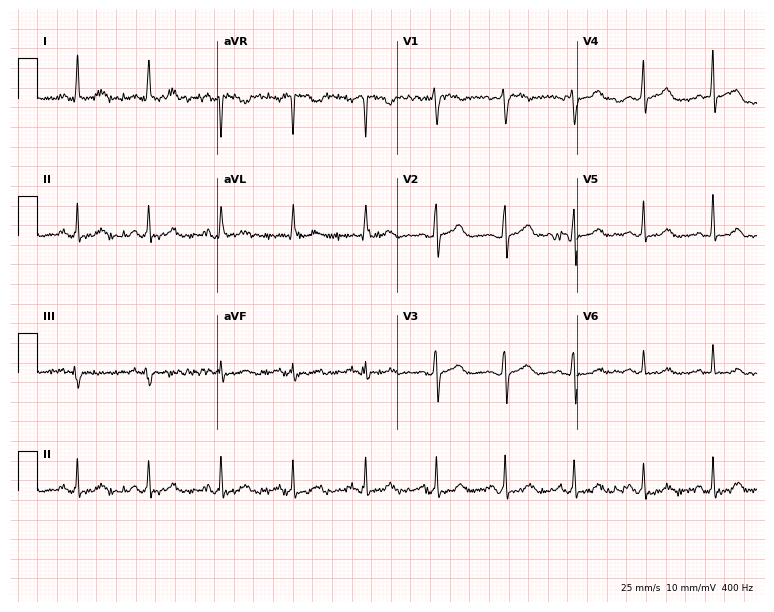
12-lead ECG (7.3-second recording at 400 Hz) from a woman, 48 years old. Labelled as a normal ECG.